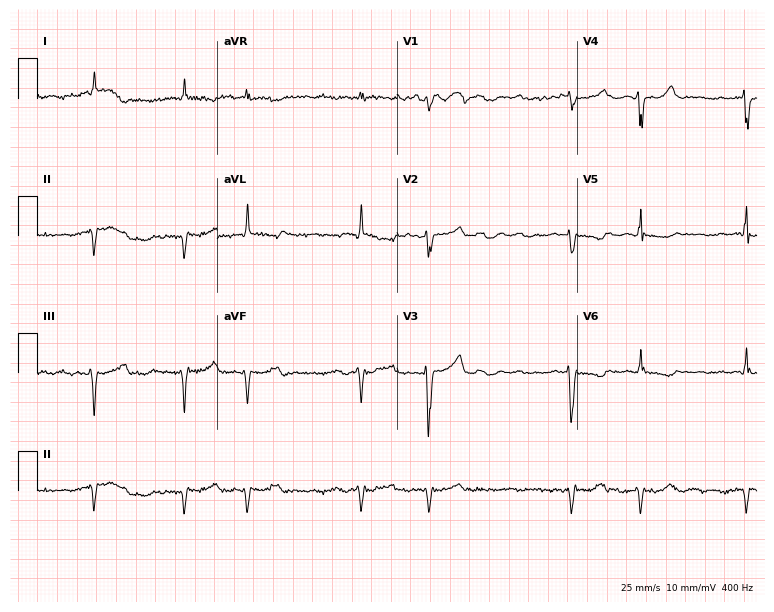
12-lead ECG from a man, 82 years old. No first-degree AV block, right bundle branch block, left bundle branch block, sinus bradycardia, atrial fibrillation or sinus tachycardia recorded for this tracing. Findings outside these six are not listed.